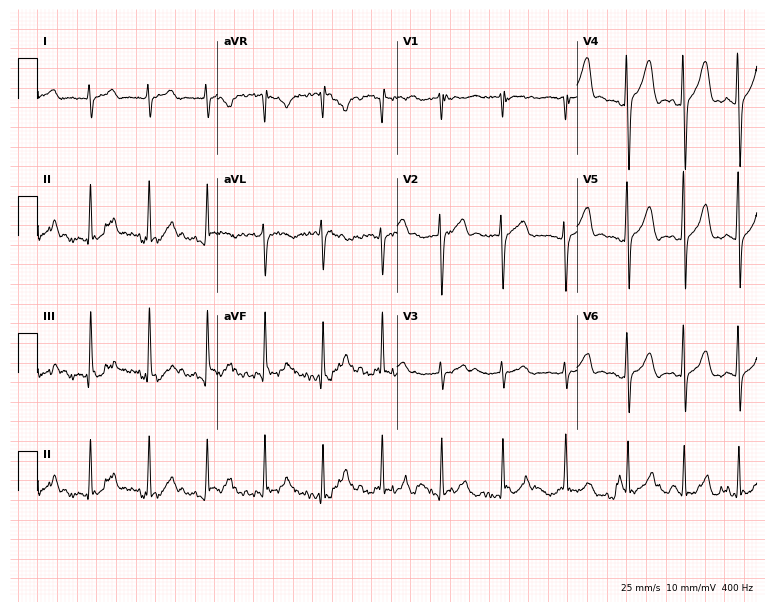
12-lead ECG from a 24-year-old male patient (7.3-second recording at 400 Hz). No first-degree AV block, right bundle branch block (RBBB), left bundle branch block (LBBB), sinus bradycardia, atrial fibrillation (AF) or sinus tachycardia recorded for this tracing.